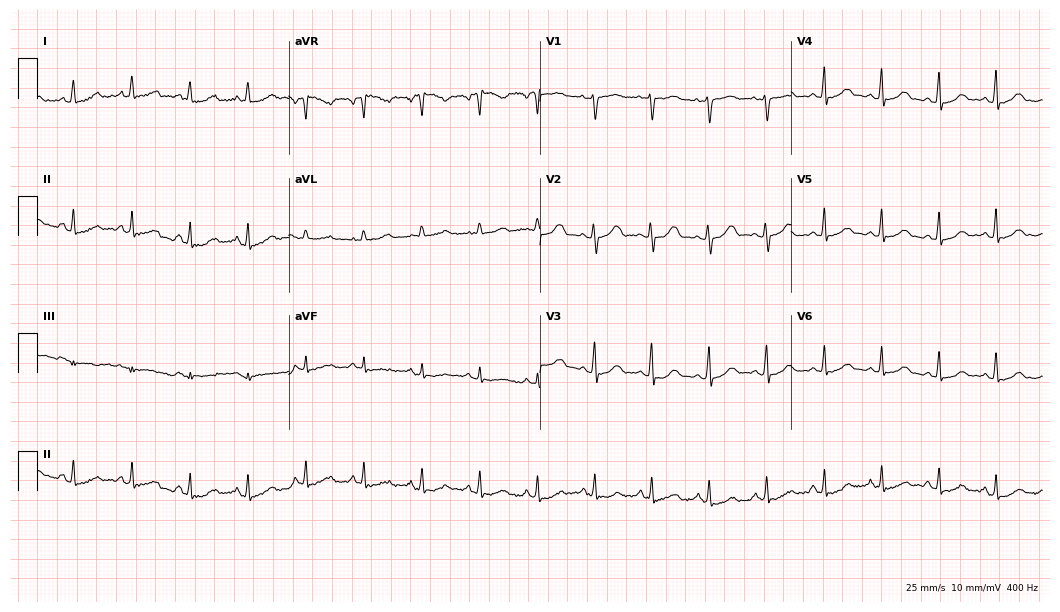
12-lead ECG (10.2-second recording at 400 Hz) from a female patient, 47 years old. Findings include sinus tachycardia (a sinus rate of 100 beats per minute or more).